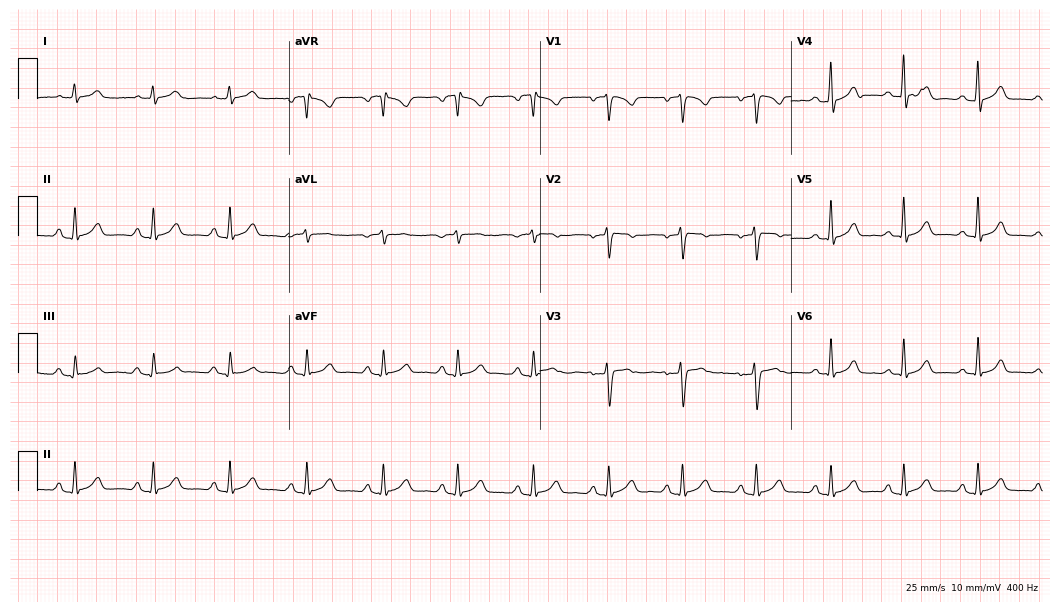
ECG (10.2-second recording at 400 Hz) — a 32-year-old female patient. Labelled as a normal ECG.